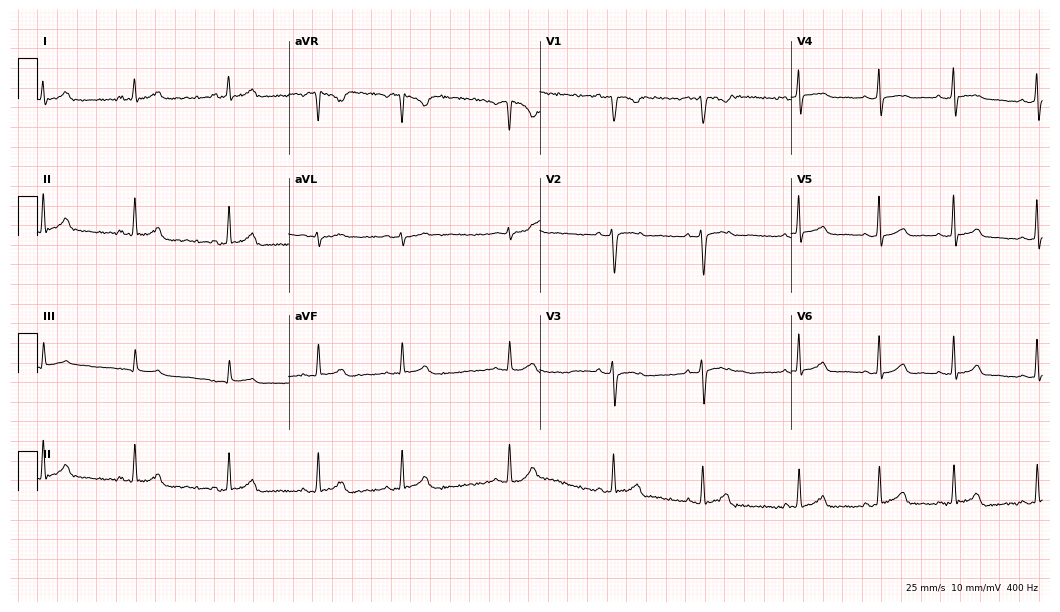
12-lead ECG from a female patient, 20 years old. Recorded interpretation: within normal limits.